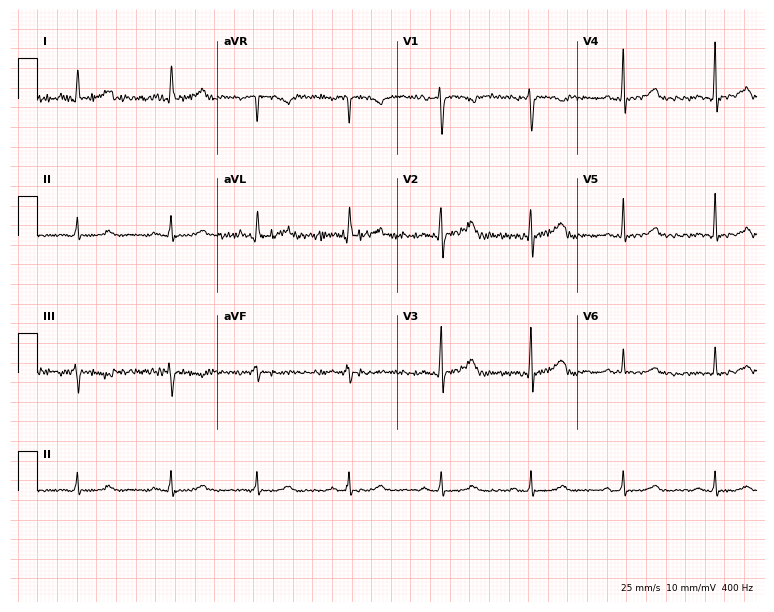
Resting 12-lead electrocardiogram. Patient: a 47-year-old female. Read as a normal ECG.